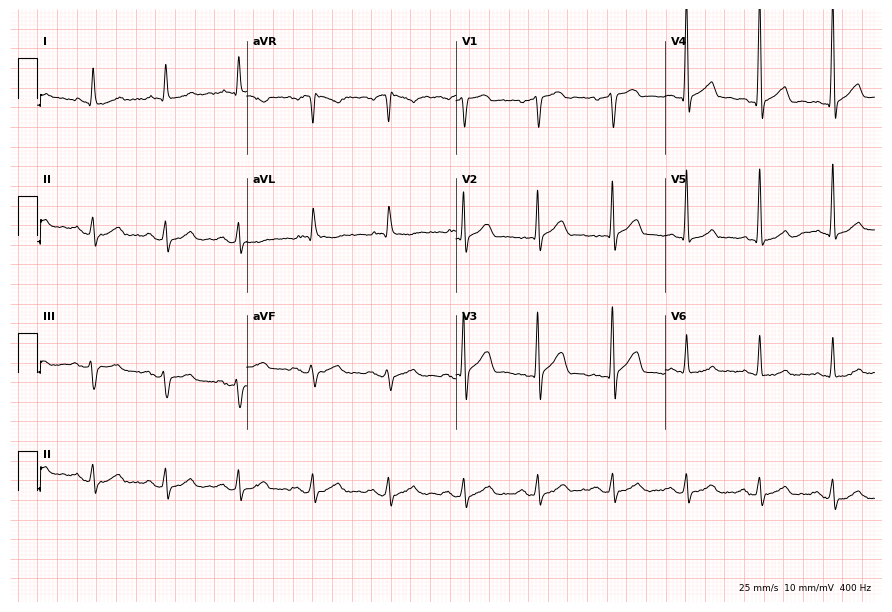
Electrocardiogram (8.5-second recording at 400 Hz), a 69-year-old male. Of the six screened findings (first-degree AV block, right bundle branch block, left bundle branch block, sinus bradycardia, atrial fibrillation, sinus tachycardia), none is recorded.